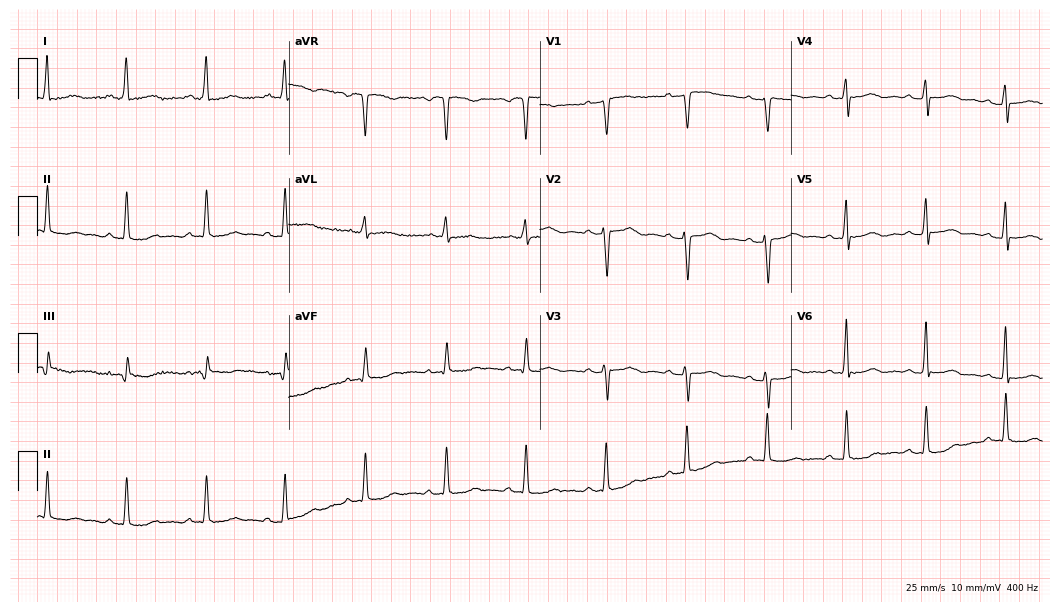
Standard 12-lead ECG recorded from a 62-year-old female. Read as a normal ECG.